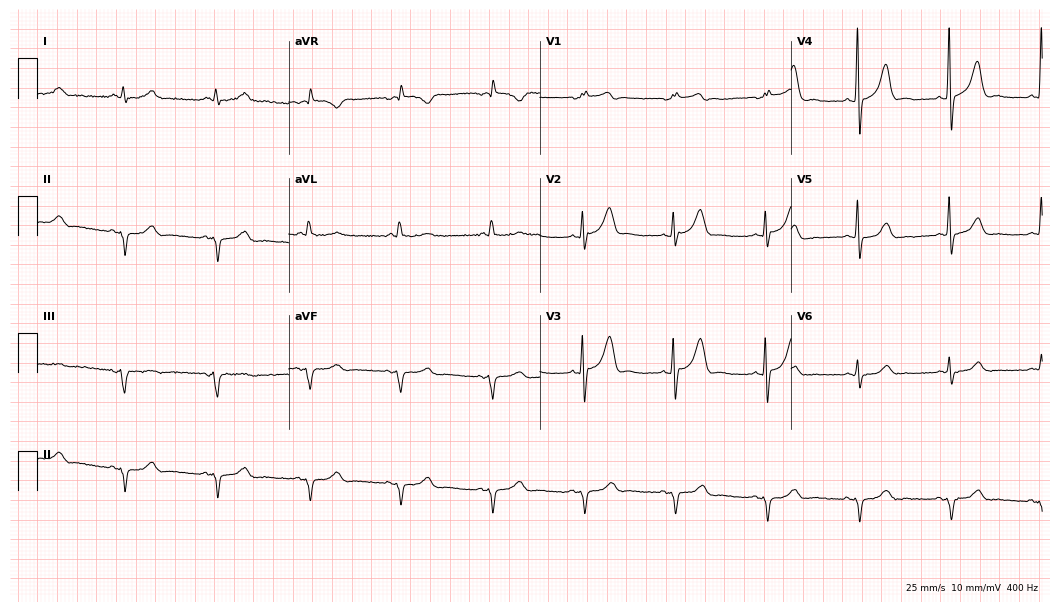
Standard 12-lead ECG recorded from a 77-year-old man. None of these six findings is recorded: first-degree AV block, right bundle branch block, left bundle branch block, sinus bradycardia, atrial fibrillation, sinus tachycardia. Only these six findings were labelled.